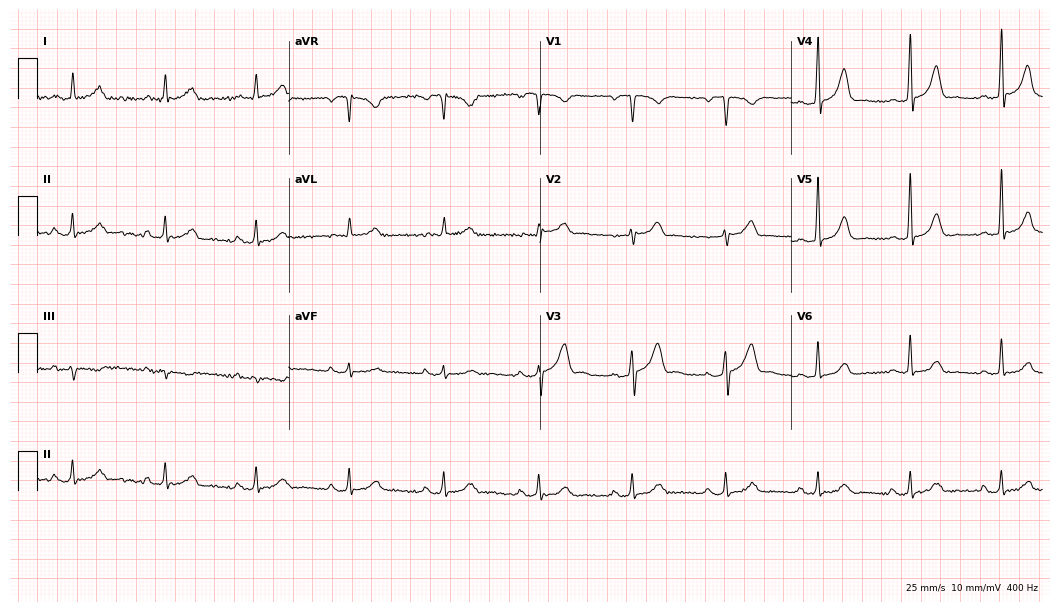
ECG (10.2-second recording at 400 Hz) — a male, 49 years old. Screened for six findings — first-degree AV block, right bundle branch block, left bundle branch block, sinus bradycardia, atrial fibrillation, sinus tachycardia — none is recorded. Other findings, if any, are not listed.